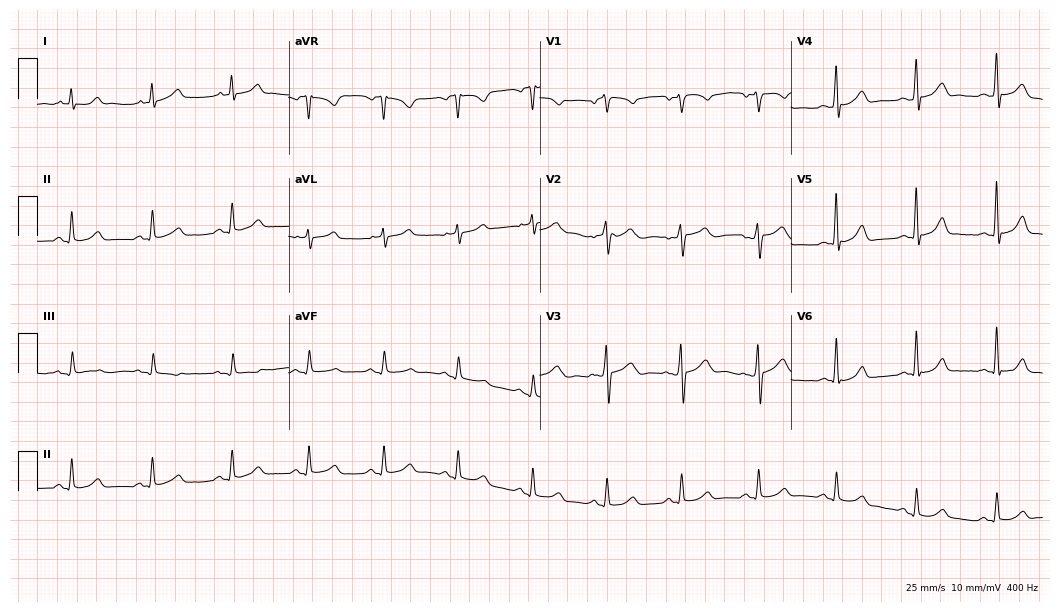
Electrocardiogram (10.2-second recording at 400 Hz), a 56-year-old man. Overall reading on record: normal ECG.